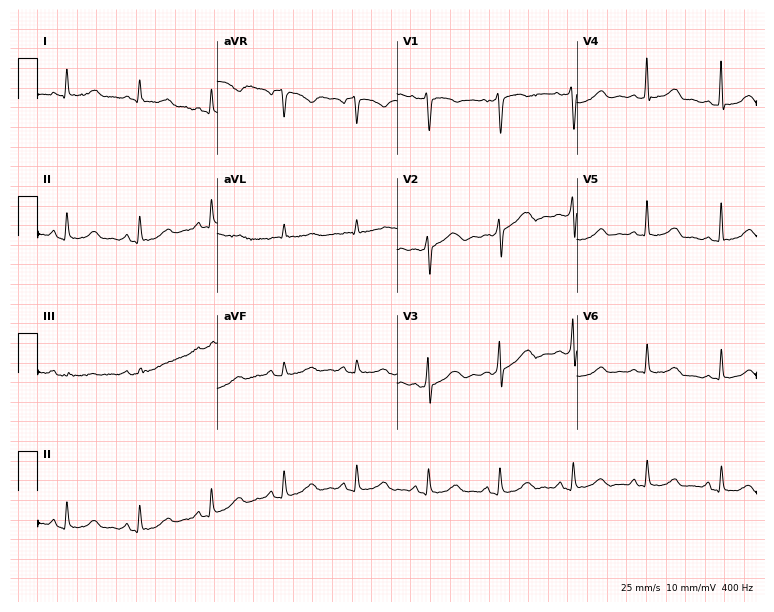
12-lead ECG from a 52-year-old female (7.3-second recording at 400 Hz). No first-degree AV block, right bundle branch block (RBBB), left bundle branch block (LBBB), sinus bradycardia, atrial fibrillation (AF) or sinus tachycardia recorded for this tracing. Findings outside these six are not listed.